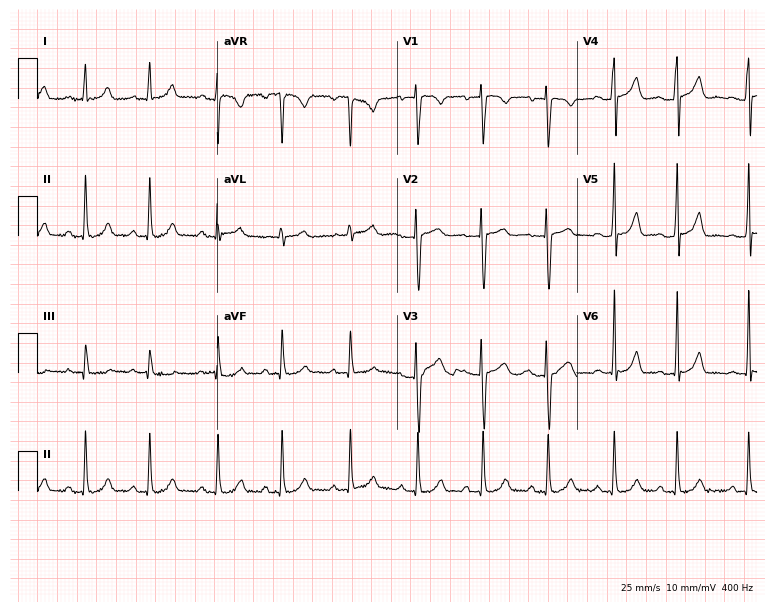
ECG — a 22-year-old female. Labelled as a normal ECG.